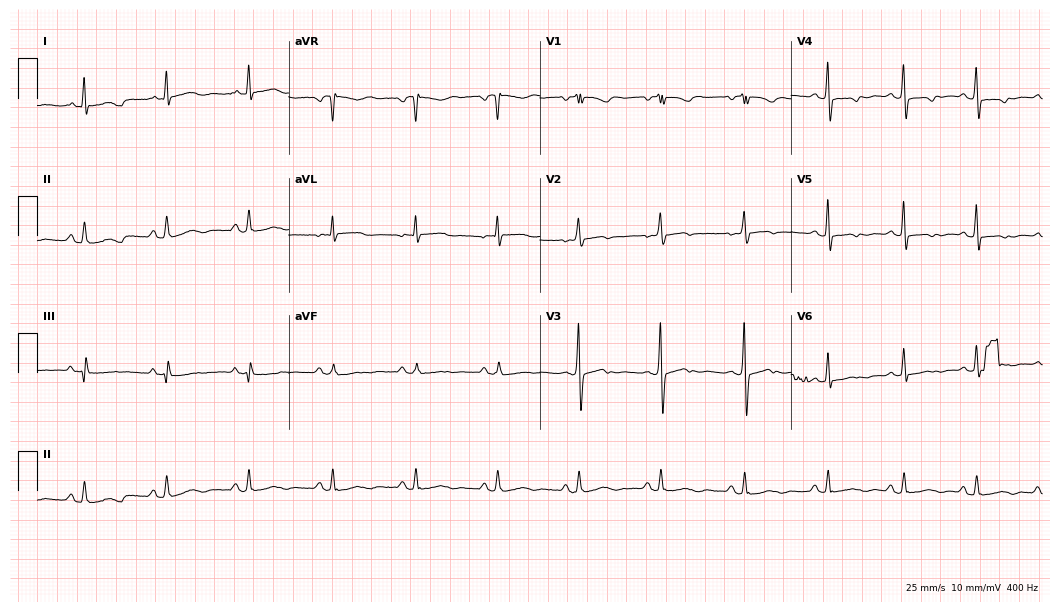
Resting 12-lead electrocardiogram. Patient: a female, 56 years old. None of these six findings is recorded: first-degree AV block, right bundle branch block, left bundle branch block, sinus bradycardia, atrial fibrillation, sinus tachycardia. Other findings, if any, are not listed.